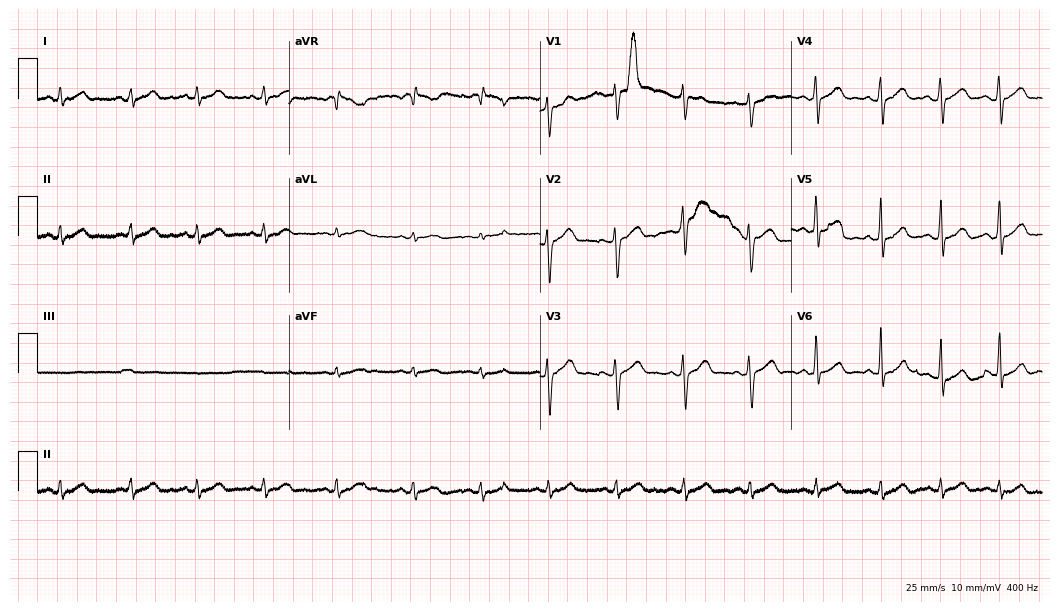
ECG (10.2-second recording at 400 Hz) — a 53-year-old male. Screened for six findings — first-degree AV block, right bundle branch block, left bundle branch block, sinus bradycardia, atrial fibrillation, sinus tachycardia — none is recorded. Findings outside these six are not listed.